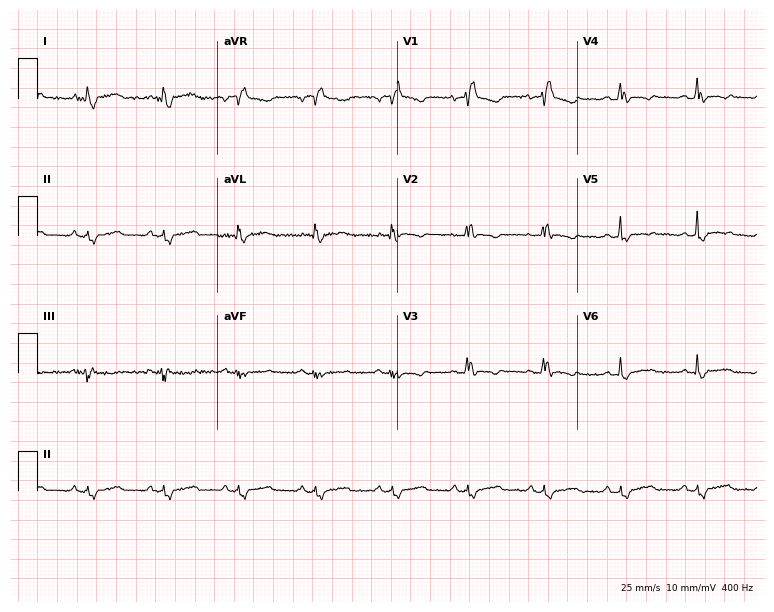
12-lead ECG from a female, 42 years old (7.3-second recording at 400 Hz). Shows right bundle branch block.